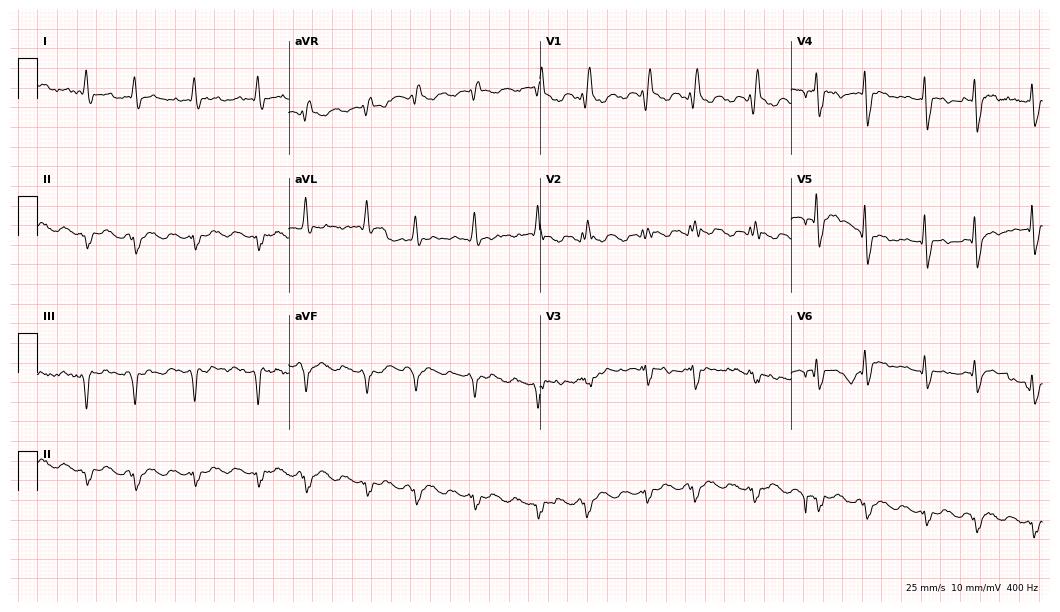
ECG — a man, 84 years old. Findings include right bundle branch block (RBBB), atrial fibrillation (AF).